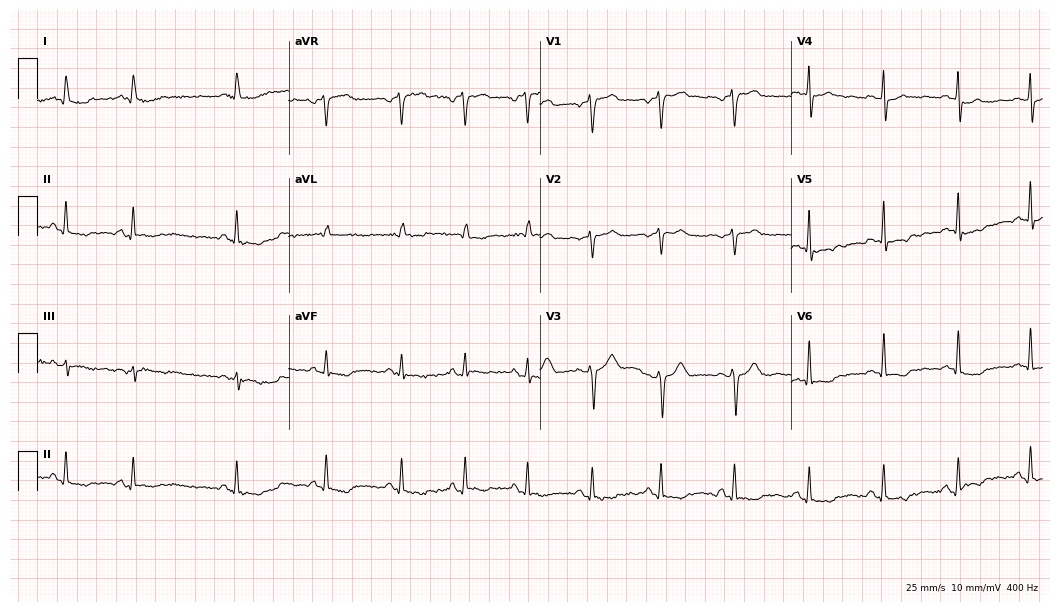
Standard 12-lead ECG recorded from a 50-year-old male patient (10.2-second recording at 400 Hz). None of these six findings is recorded: first-degree AV block, right bundle branch block, left bundle branch block, sinus bradycardia, atrial fibrillation, sinus tachycardia. Other findings, if any, are not listed.